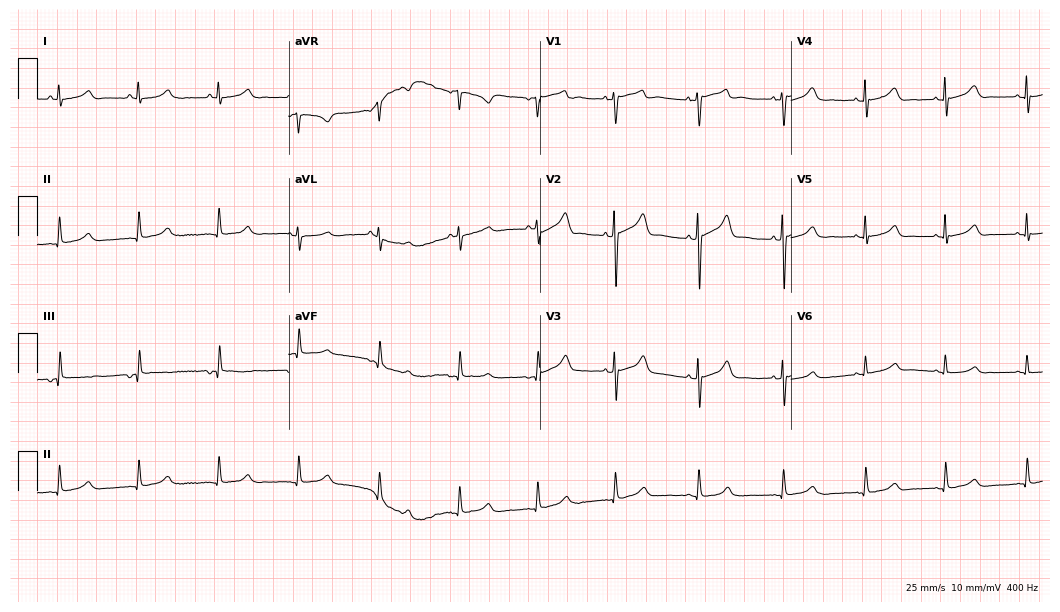
ECG (10.2-second recording at 400 Hz) — a 53-year-old female patient. Labelled as a normal ECG.